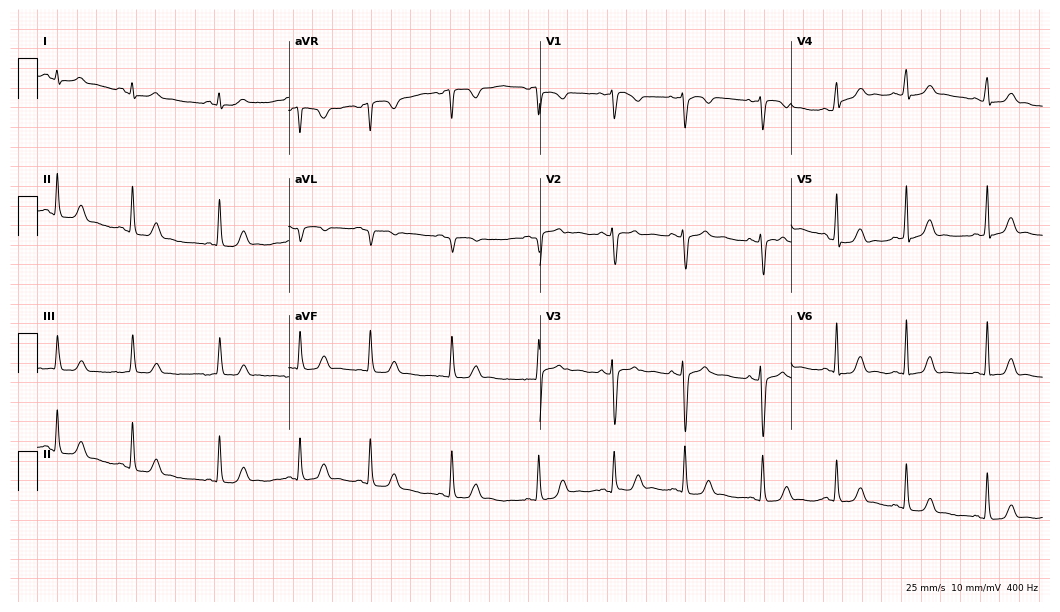
12-lead ECG from a female, 19 years old. No first-degree AV block, right bundle branch block (RBBB), left bundle branch block (LBBB), sinus bradycardia, atrial fibrillation (AF) or sinus tachycardia recorded for this tracing.